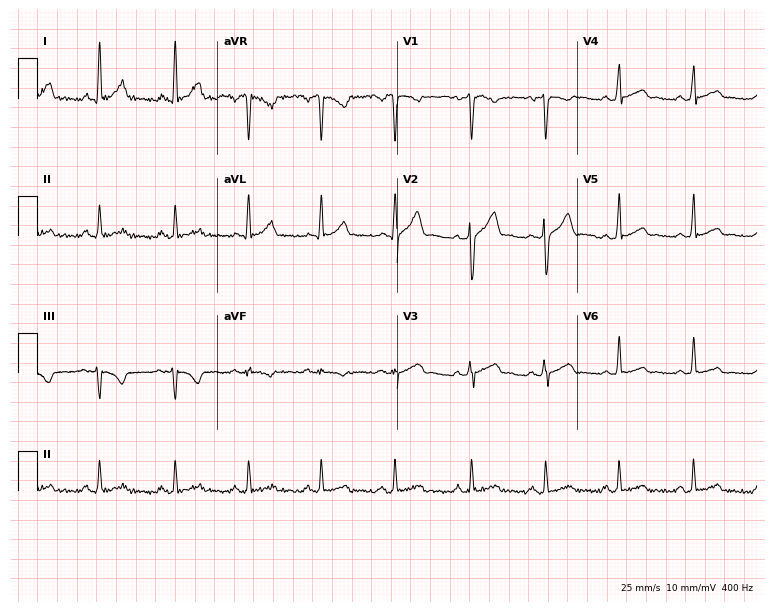
12-lead ECG from a 24-year-old man (7.3-second recording at 400 Hz). No first-degree AV block, right bundle branch block, left bundle branch block, sinus bradycardia, atrial fibrillation or sinus tachycardia recorded for this tracing. Only these six findings were labelled.